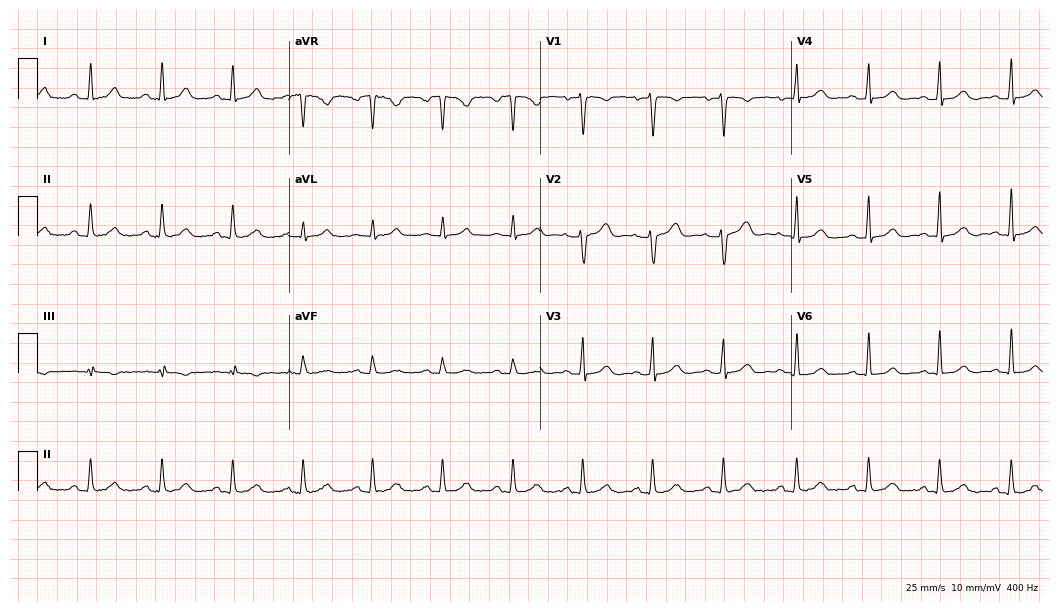
Resting 12-lead electrocardiogram (10.2-second recording at 400 Hz). Patient: a female, 29 years old. Read as a normal ECG.